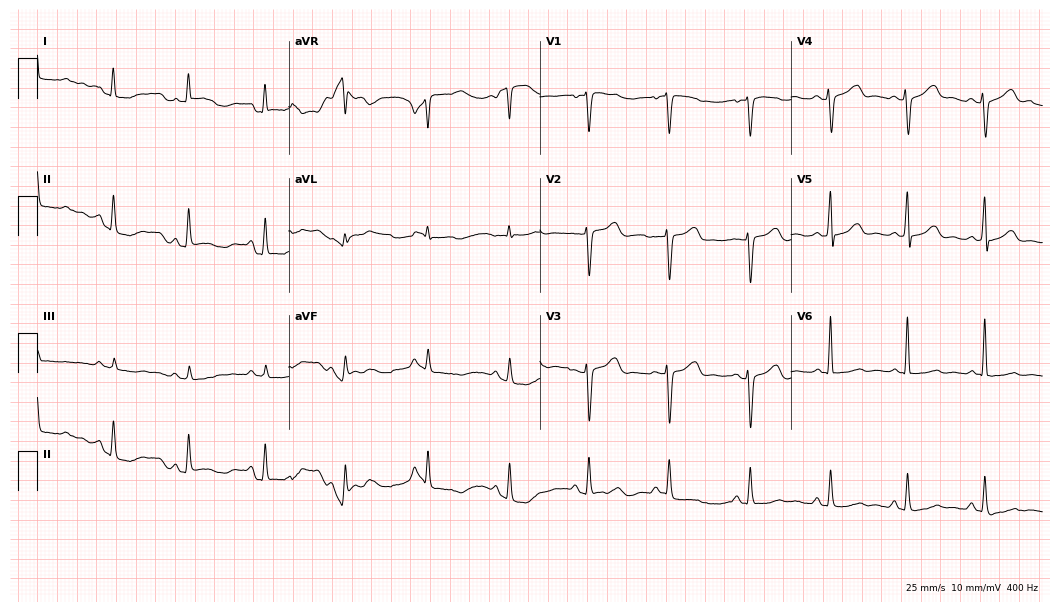
12-lead ECG from a 55-year-old woman. Labelled as a normal ECG.